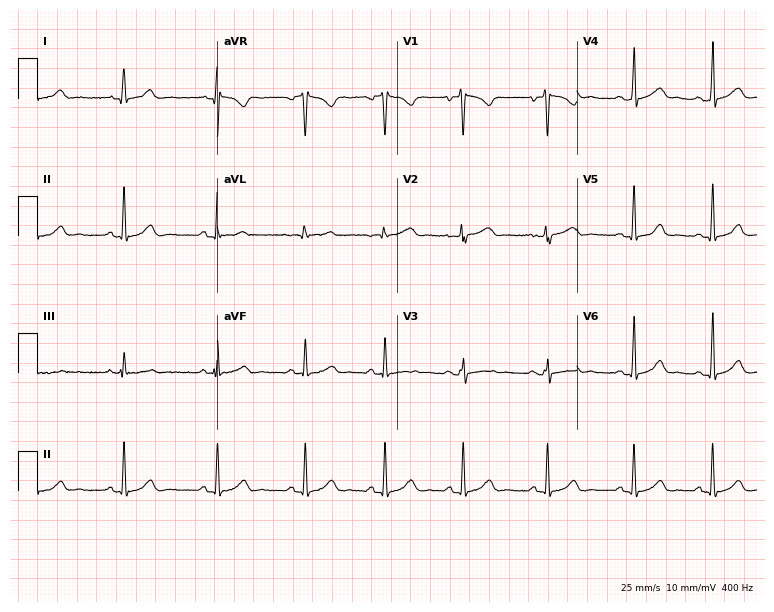
Electrocardiogram, a 21-year-old female. Overall reading on record: normal ECG.